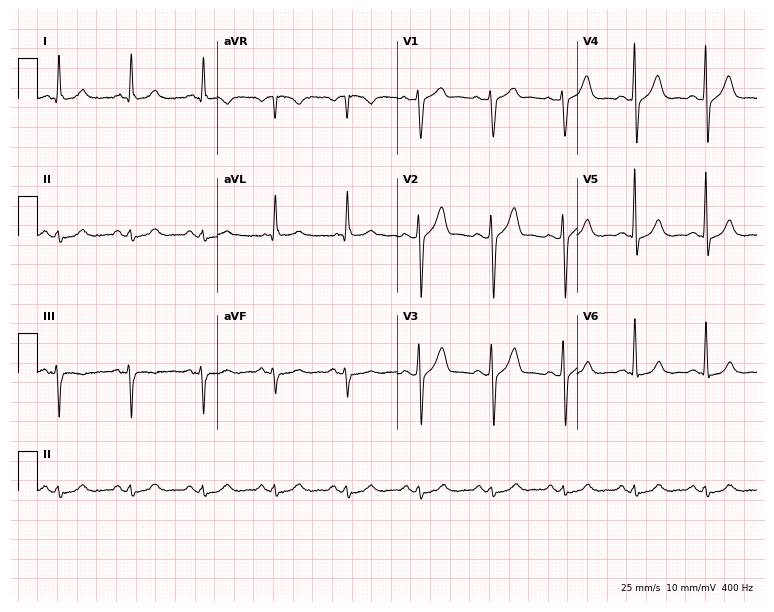
12-lead ECG from a male patient, 58 years old. Recorded interpretation: within normal limits.